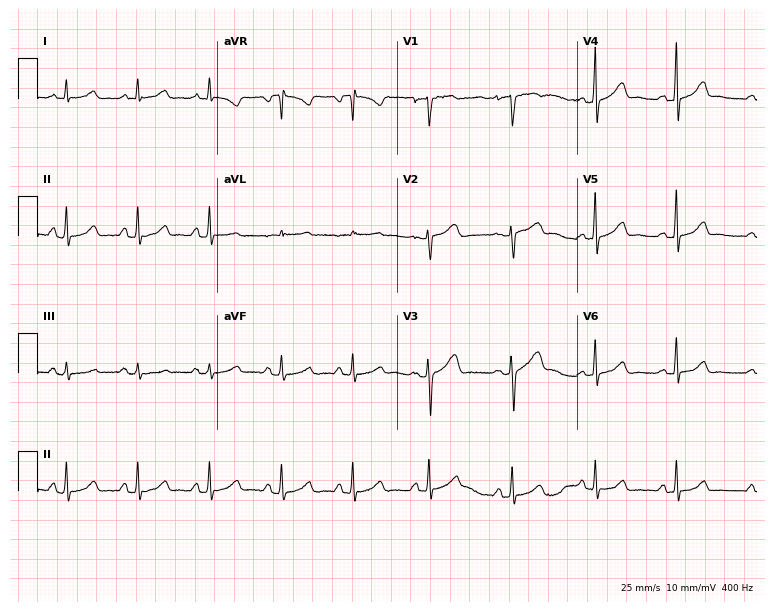
Resting 12-lead electrocardiogram. Patient: a 40-year-old female. Read as a normal ECG.